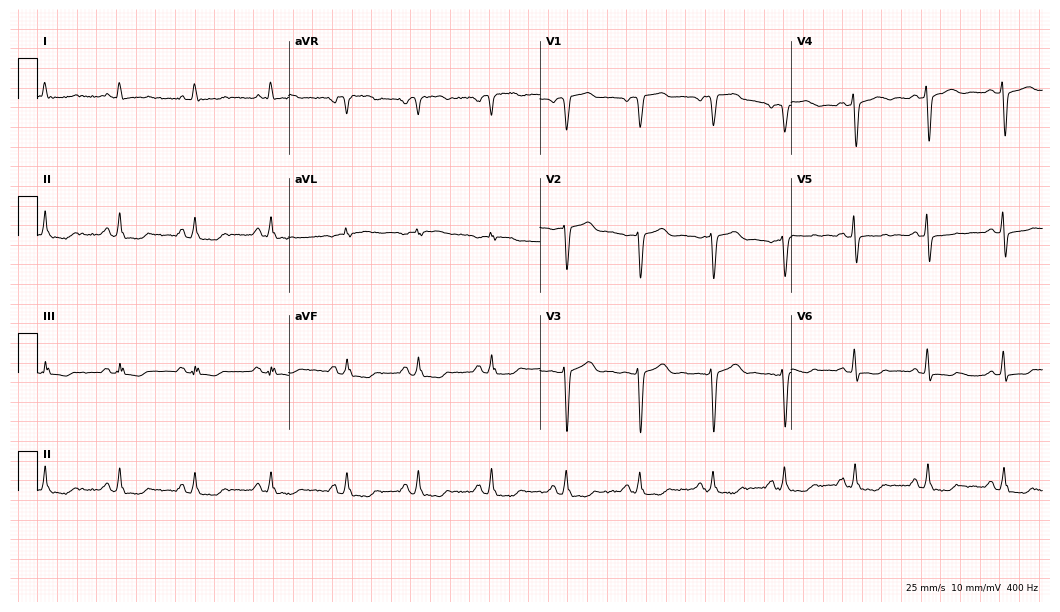
Standard 12-lead ECG recorded from a 59-year-old female (10.2-second recording at 400 Hz). None of these six findings is recorded: first-degree AV block, right bundle branch block, left bundle branch block, sinus bradycardia, atrial fibrillation, sinus tachycardia.